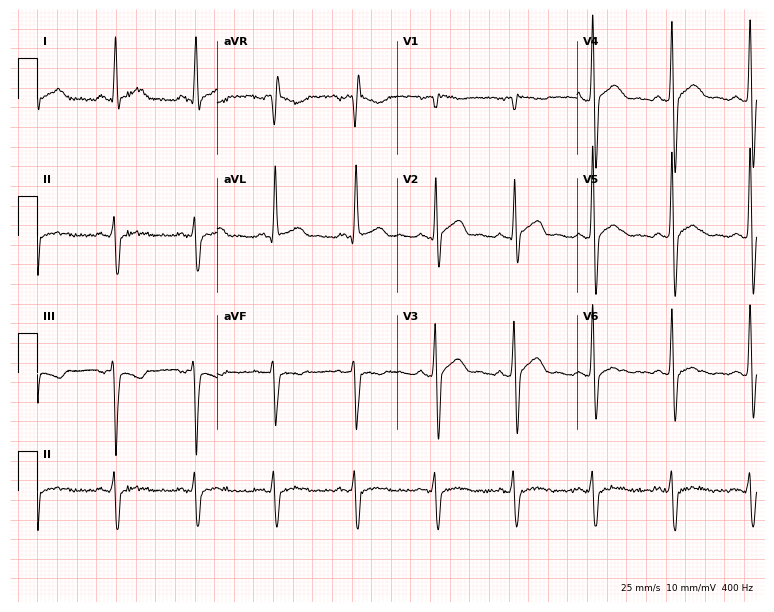
12-lead ECG from a man, 60 years old (7.3-second recording at 400 Hz). No first-degree AV block, right bundle branch block, left bundle branch block, sinus bradycardia, atrial fibrillation or sinus tachycardia recorded for this tracing. Only these six findings were labelled.